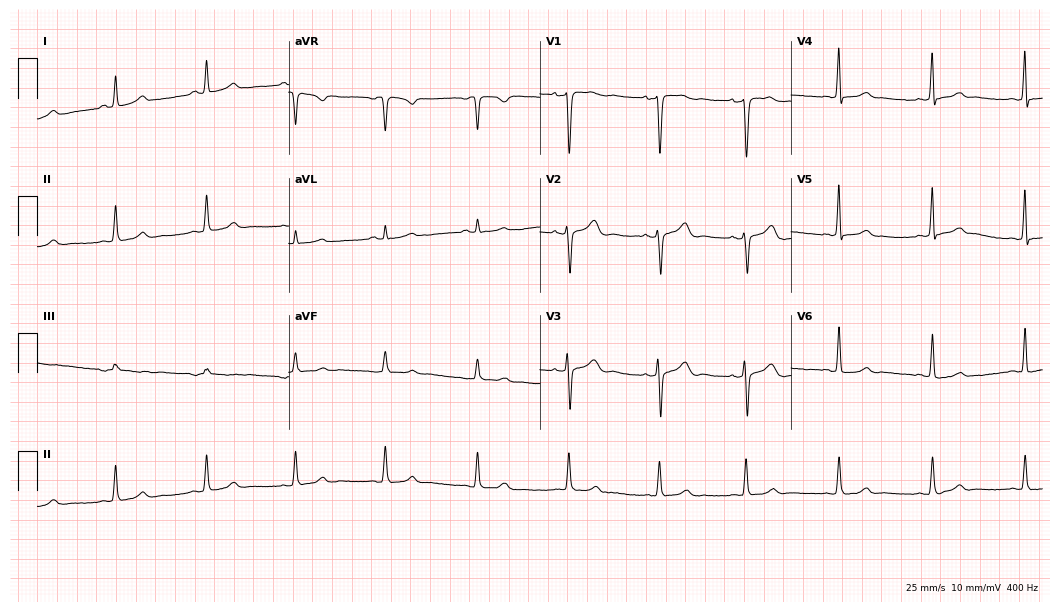
Resting 12-lead electrocardiogram (10.2-second recording at 400 Hz). Patient: a female, 28 years old. Read as a normal ECG.